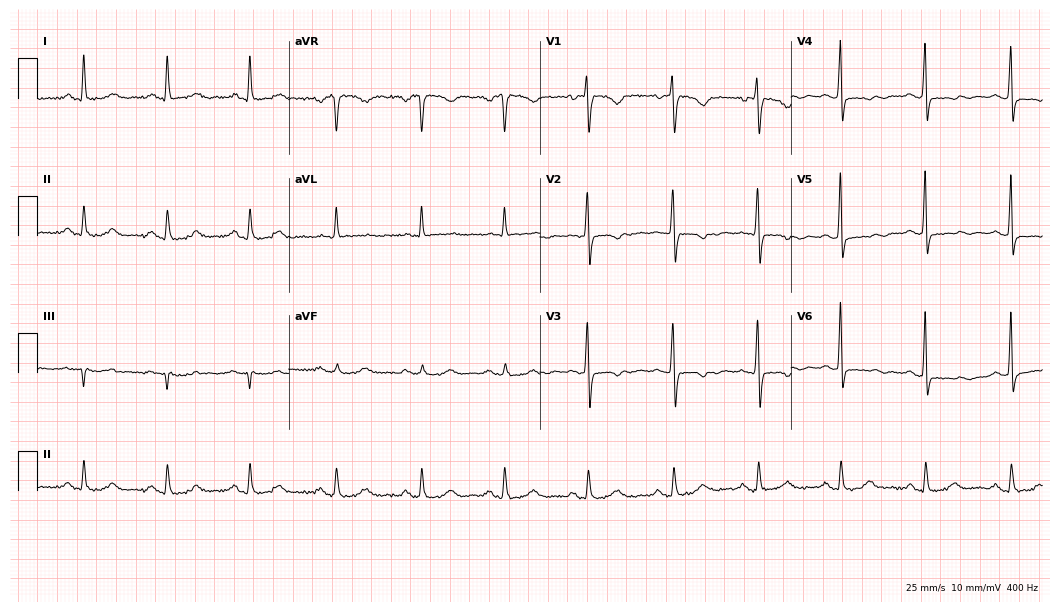
Electrocardiogram (10.2-second recording at 400 Hz), a female patient, 71 years old. Of the six screened findings (first-degree AV block, right bundle branch block, left bundle branch block, sinus bradycardia, atrial fibrillation, sinus tachycardia), none is recorded. Findings outside these six are not listed.